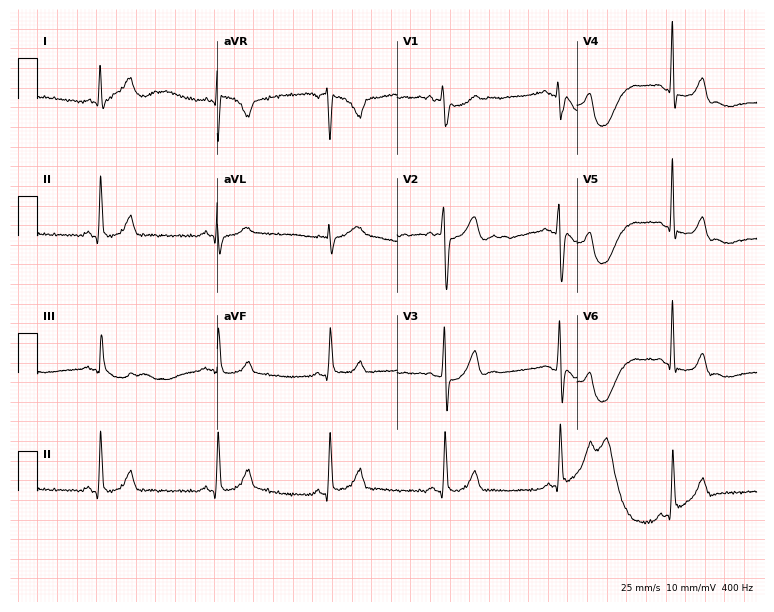
12-lead ECG from a 64-year-old male patient. Labelled as a normal ECG.